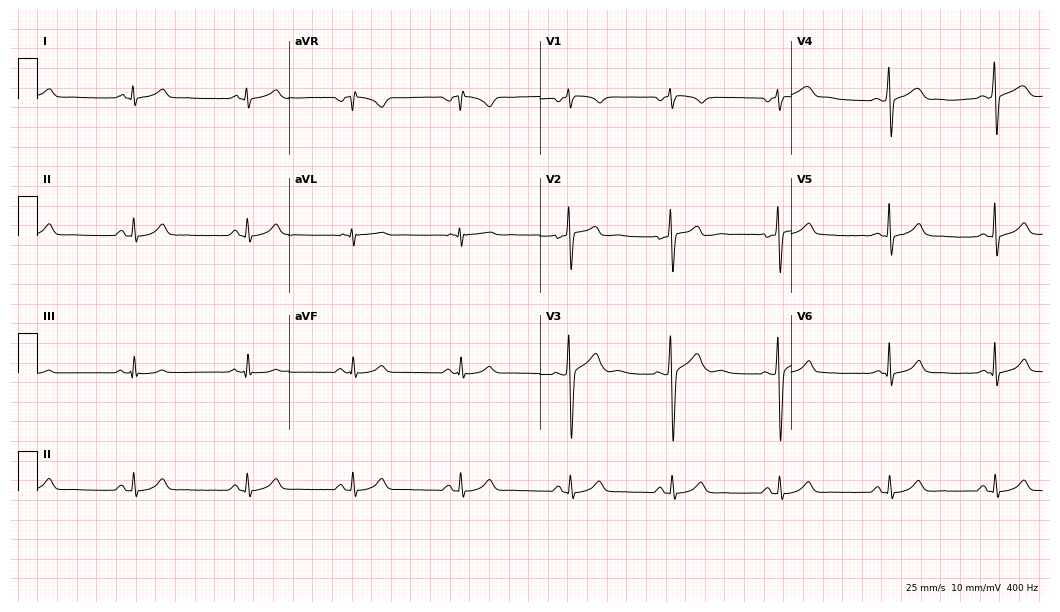
Electrocardiogram, a male patient, 27 years old. Of the six screened findings (first-degree AV block, right bundle branch block, left bundle branch block, sinus bradycardia, atrial fibrillation, sinus tachycardia), none is recorded. Findings outside these six are not listed.